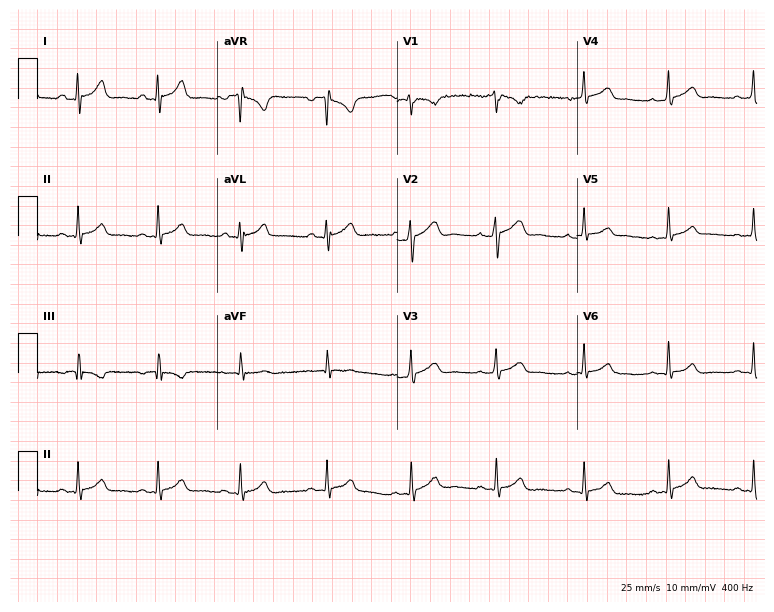
Standard 12-lead ECG recorded from a 21-year-old female. Read as a normal ECG.